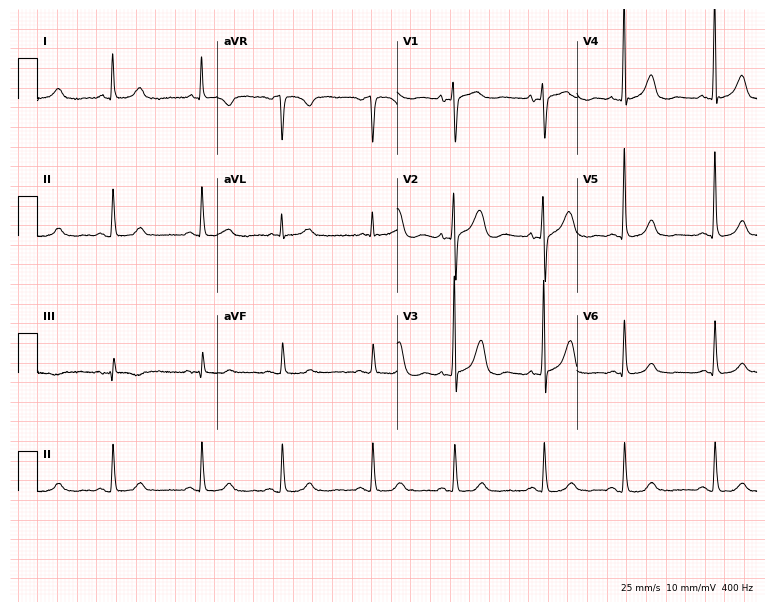
ECG — an 80-year-old woman. Labelled as a normal ECG.